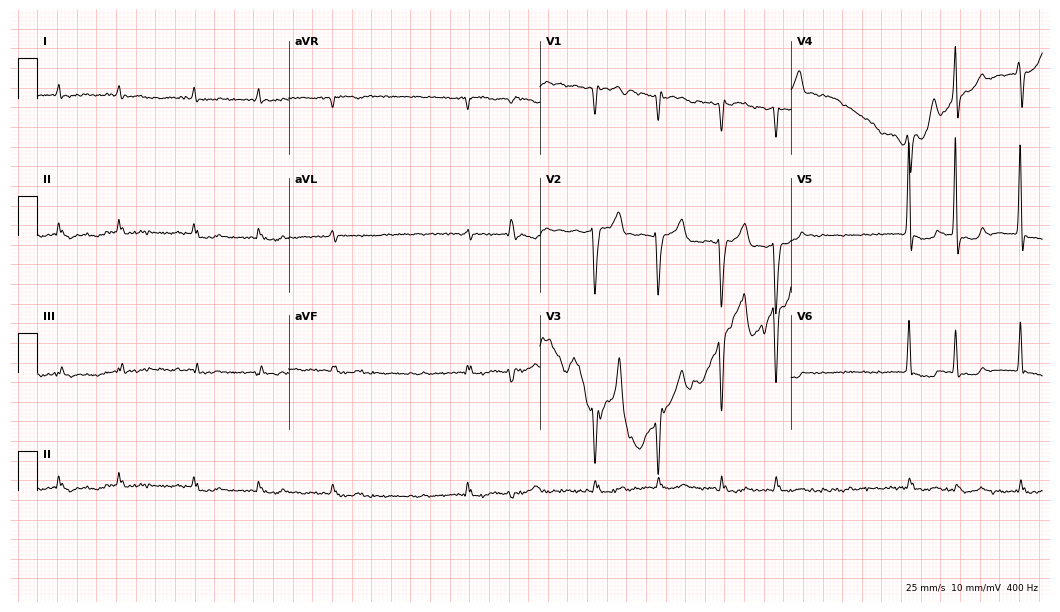
12-lead ECG from a male patient, 76 years old. Shows atrial fibrillation (AF).